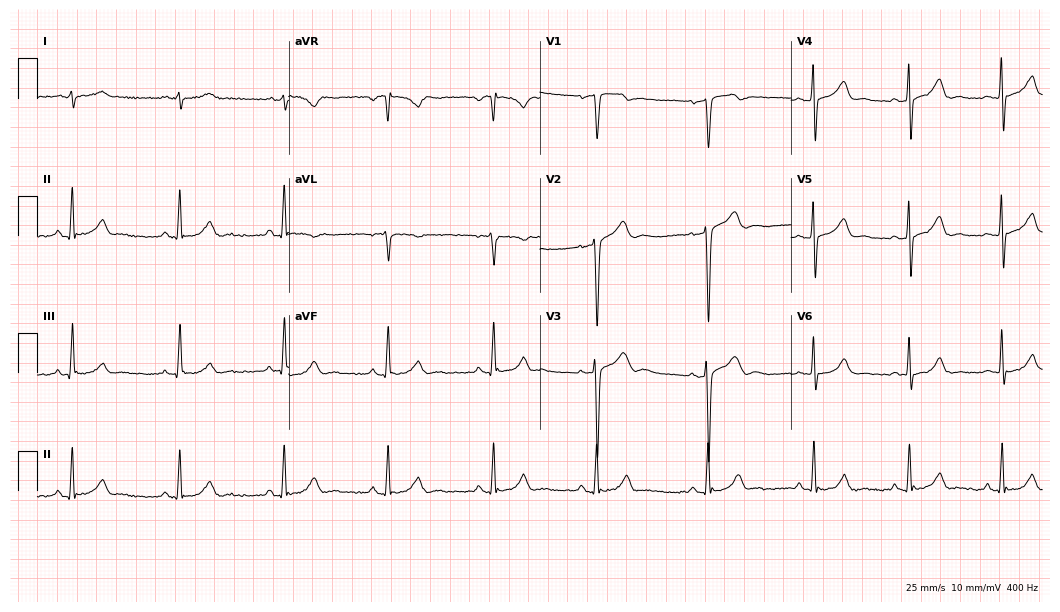
ECG — an 81-year-old man. Screened for six findings — first-degree AV block, right bundle branch block (RBBB), left bundle branch block (LBBB), sinus bradycardia, atrial fibrillation (AF), sinus tachycardia — none is recorded. Findings outside these six are not listed.